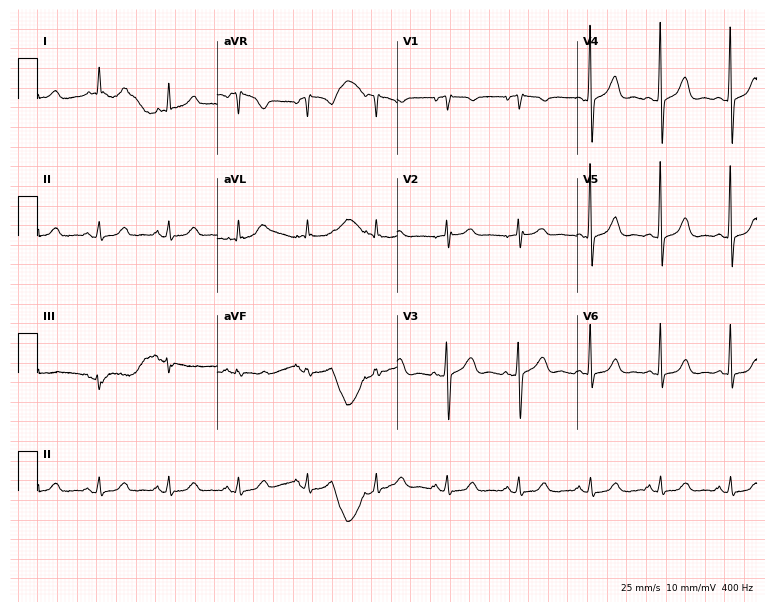
Resting 12-lead electrocardiogram. Patient: a 50-year-old woman. Read as a normal ECG.